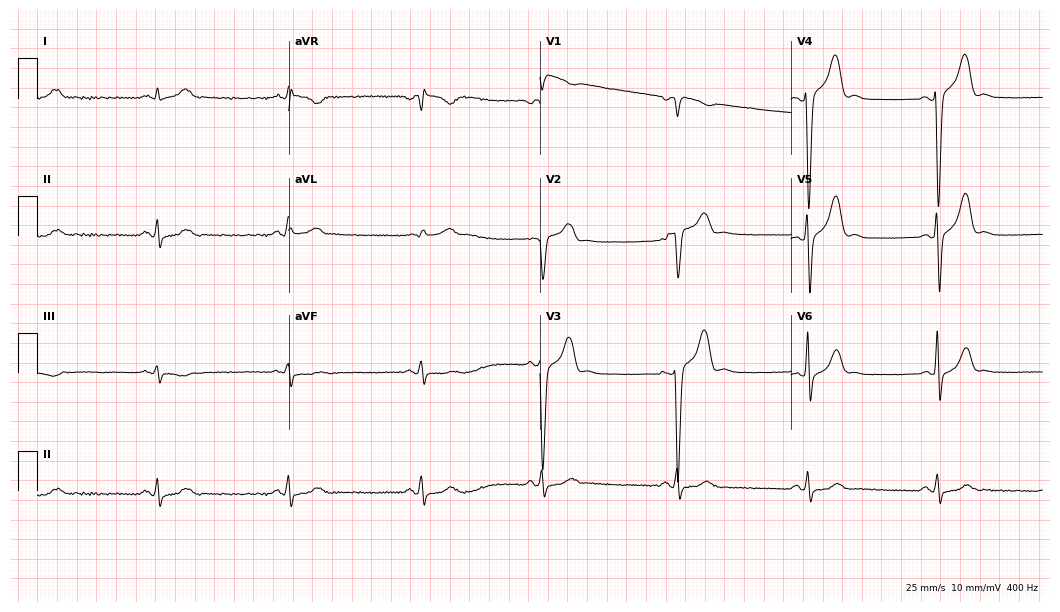
12-lead ECG from a male patient, 63 years old. Findings include sinus bradycardia (a sinus rate of 50 beats per minute or less).